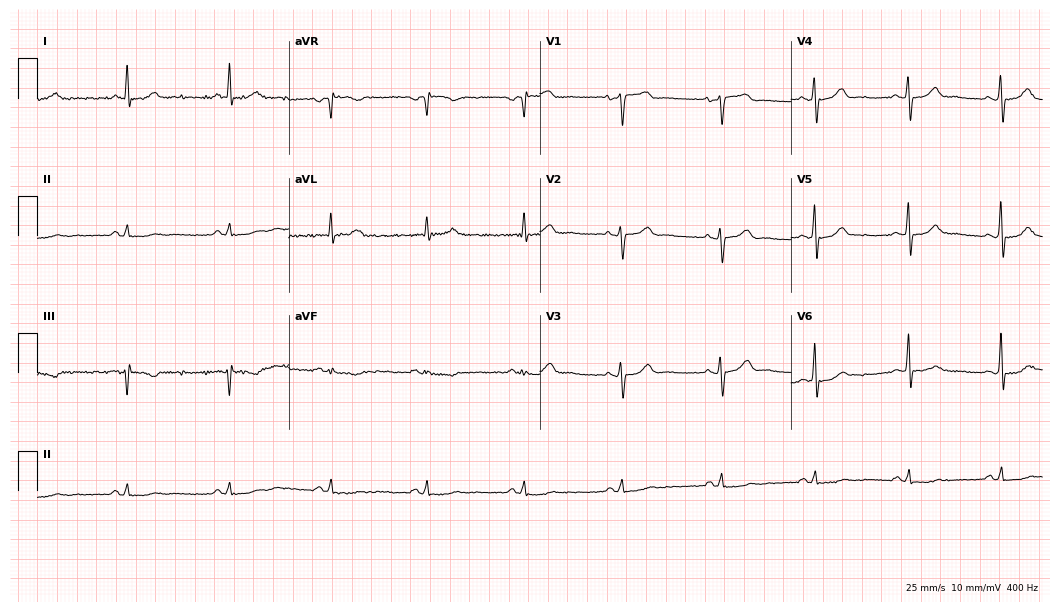
12-lead ECG from a female patient, 54 years old. Labelled as a normal ECG.